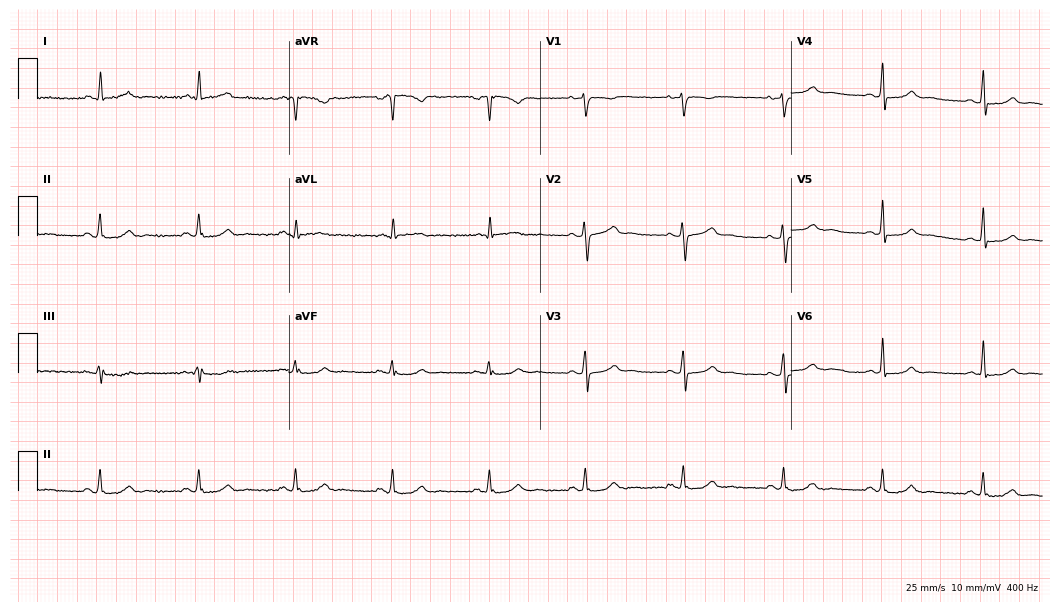
Resting 12-lead electrocardiogram (10.2-second recording at 400 Hz). Patient: a woman, 48 years old. None of these six findings is recorded: first-degree AV block, right bundle branch block, left bundle branch block, sinus bradycardia, atrial fibrillation, sinus tachycardia.